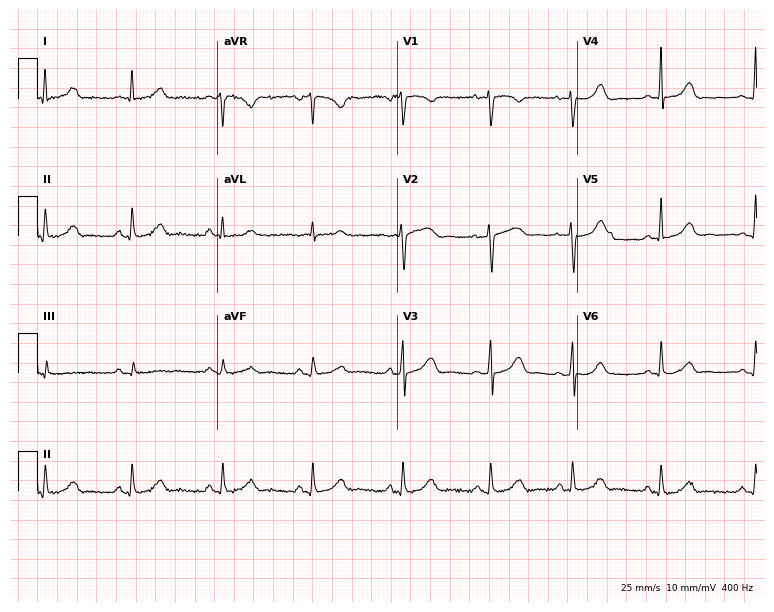
Electrocardiogram, a 41-year-old woman. Overall reading on record: normal ECG.